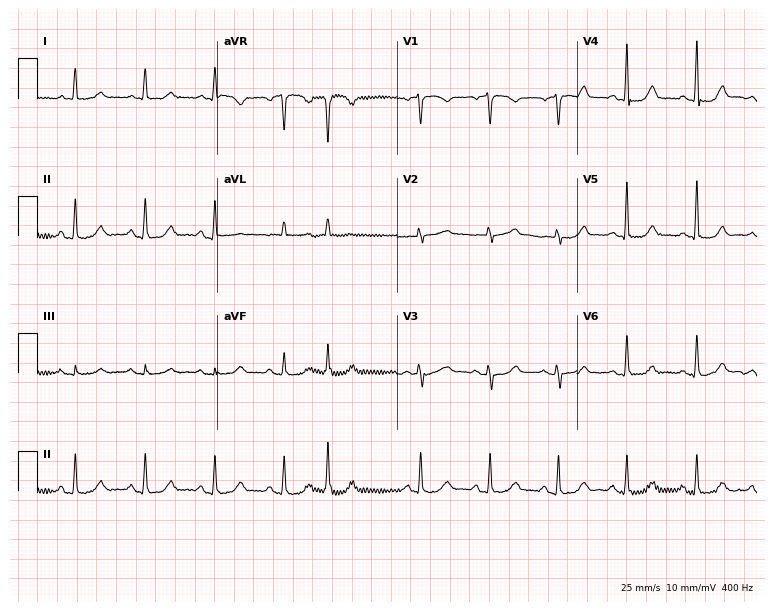
12-lead ECG (7.3-second recording at 400 Hz) from a 79-year-old woman. Labelled as a normal ECG.